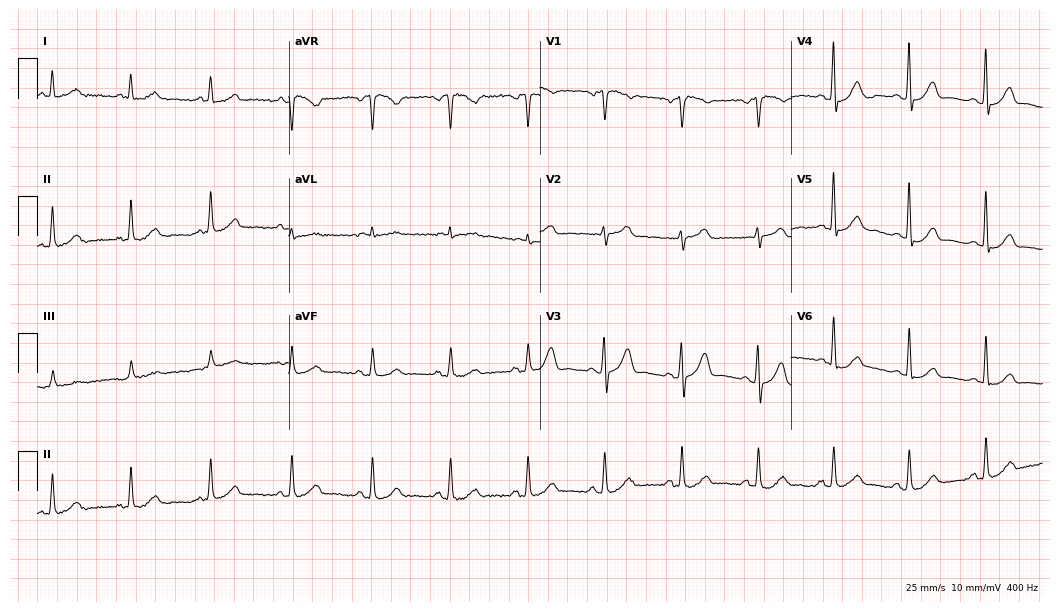
Resting 12-lead electrocardiogram (10.2-second recording at 400 Hz). Patient: a 61-year-old male. Read as a normal ECG.